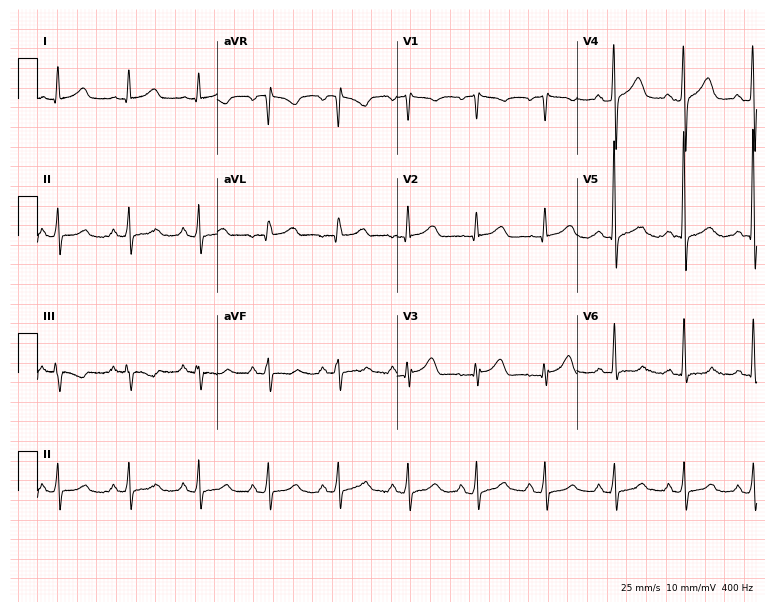
Electrocardiogram, a man, 79 years old. Overall reading on record: normal ECG.